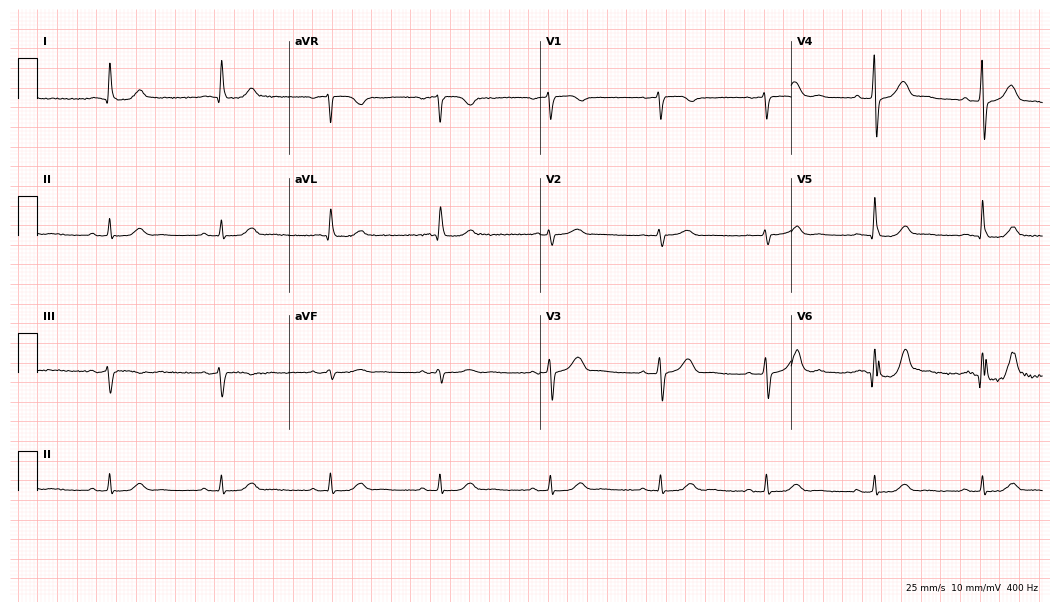
12-lead ECG (10.2-second recording at 400 Hz) from a woman, 78 years old. Labelled as a normal ECG.